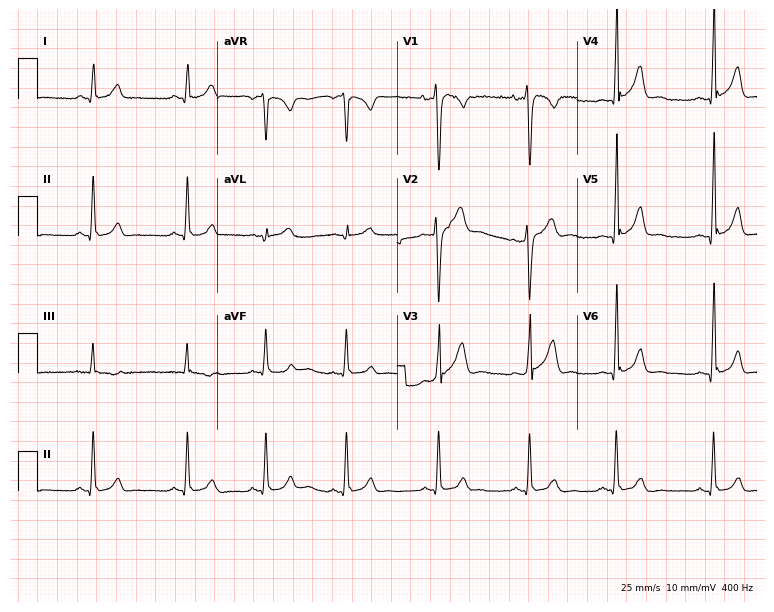
12-lead ECG (7.3-second recording at 400 Hz) from a man, 26 years old. Labelled as a normal ECG.